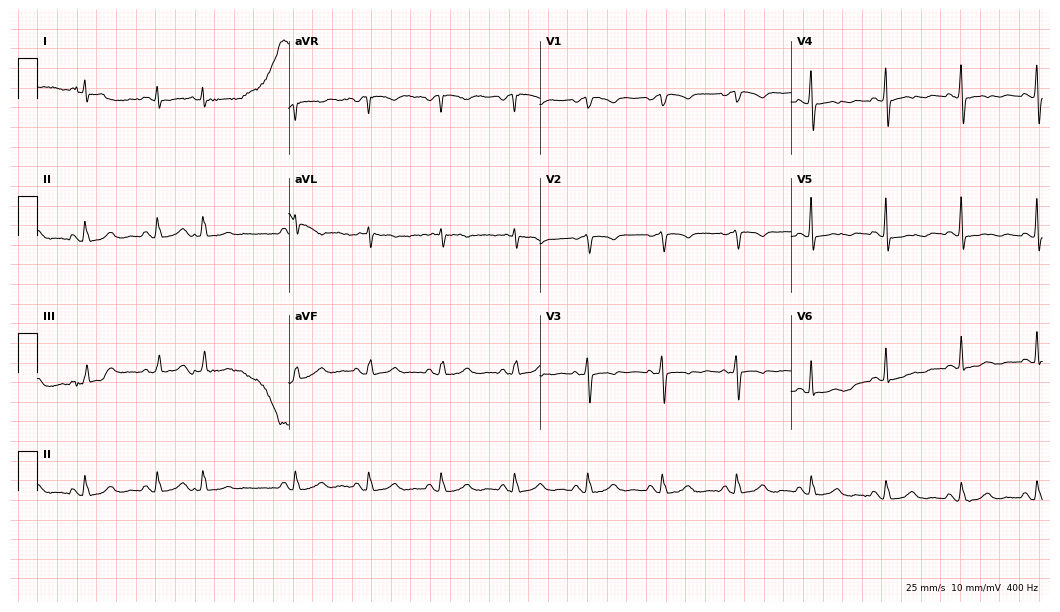
ECG (10.2-second recording at 400 Hz) — an 80-year-old woman. Screened for six findings — first-degree AV block, right bundle branch block, left bundle branch block, sinus bradycardia, atrial fibrillation, sinus tachycardia — none is recorded. Only these six findings were labelled.